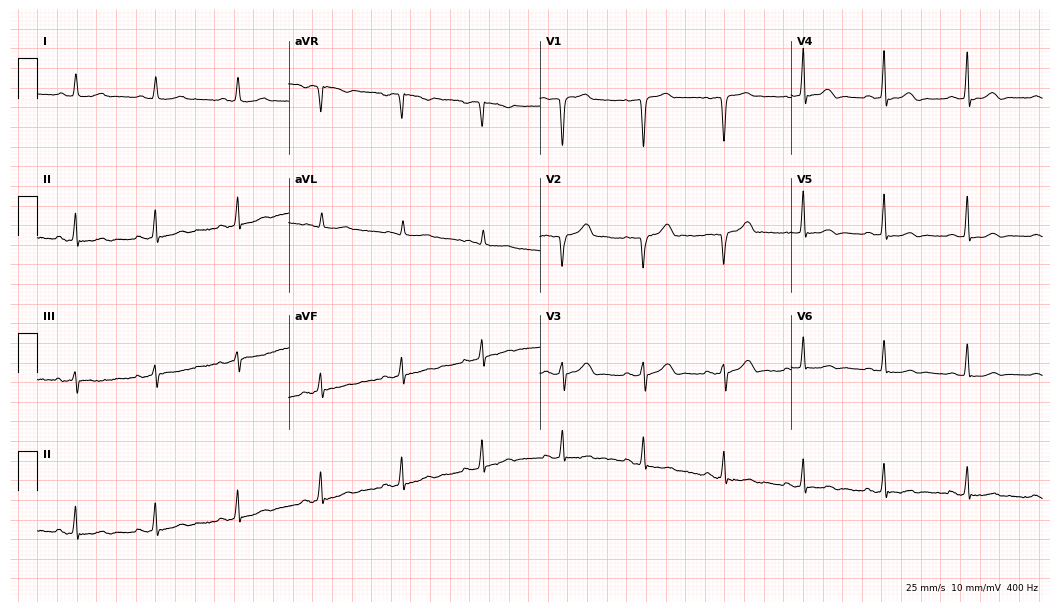
Resting 12-lead electrocardiogram. Patient: a man, 54 years old. None of these six findings is recorded: first-degree AV block, right bundle branch block (RBBB), left bundle branch block (LBBB), sinus bradycardia, atrial fibrillation (AF), sinus tachycardia. Only these six findings were labelled.